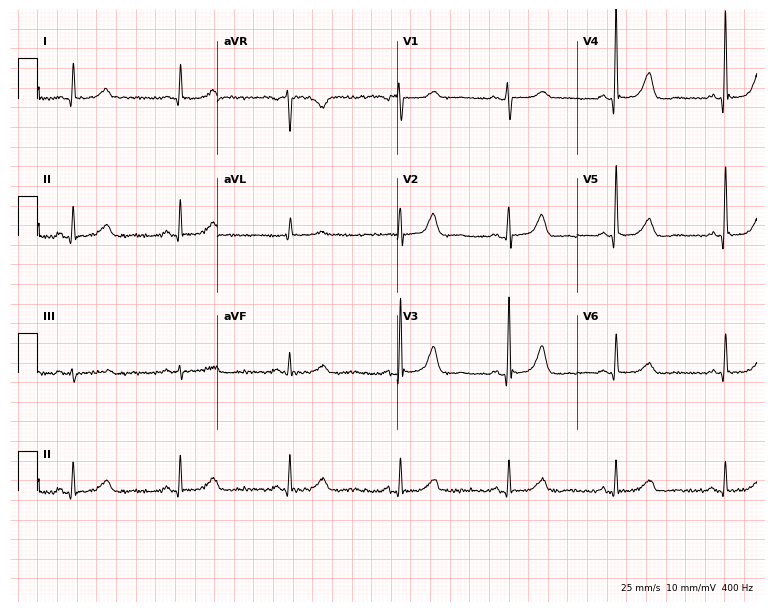
Resting 12-lead electrocardiogram (7.3-second recording at 400 Hz). Patient: an 82-year-old woman. None of these six findings is recorded: first-degree AV block, right bundle branch block (RBBB), left bundle branch block (LBBB), sinus bradycardia, atrial fibrillation (AF), sinus tachycardia. Other findings, if any, are not listed.